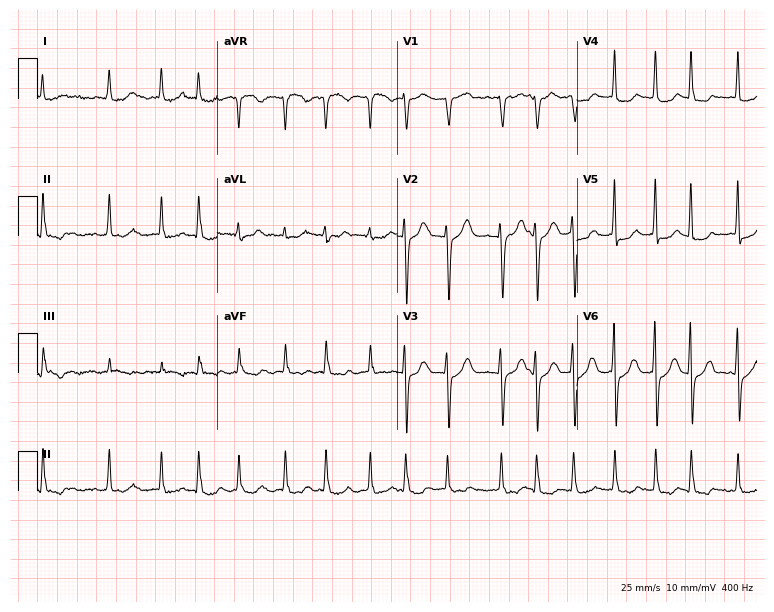
Standard 12-lead ECG recorded from a 77-year-old female (7.3-second recording at 400 Hz). The tracing shows atrial fibrillation.